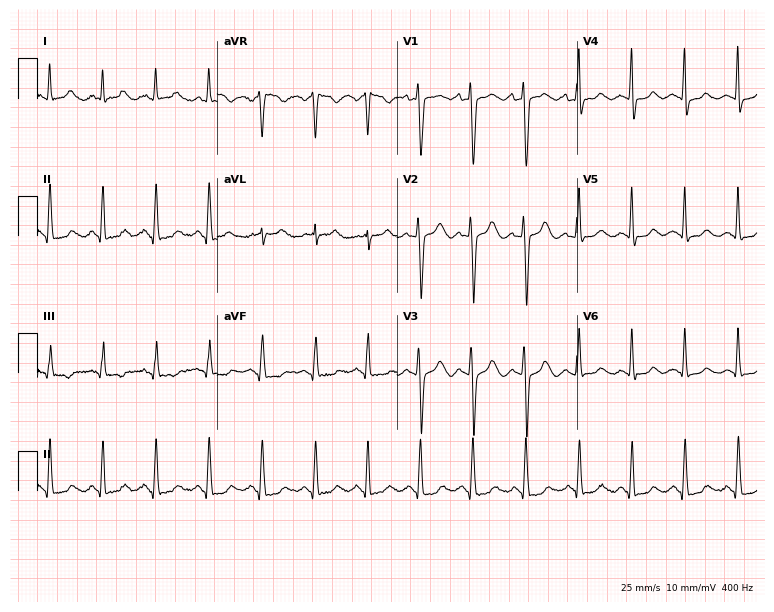
ECG (7.3-second recording at 400 Hz) — a 35-year-old female patient. Findings include sinus tachycardia (a sinus rate of 100 beats per minute or more).